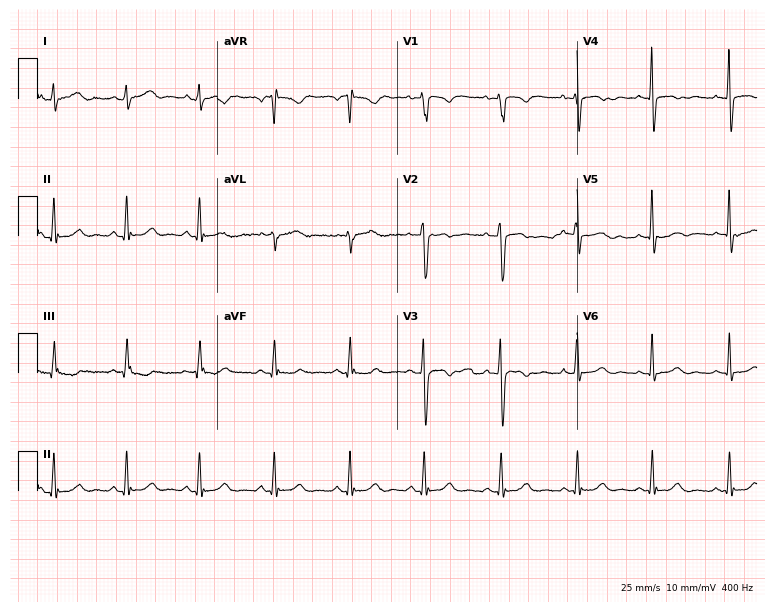
ECG — a 39-year-old woman. Screened for six findings — first-degree AV block, right bundle branch block (RBBB), left bundle branch block (LBBB), sinus bradycardia, atrial fibrillation (AF), sinus tachycardia — none is recorded.